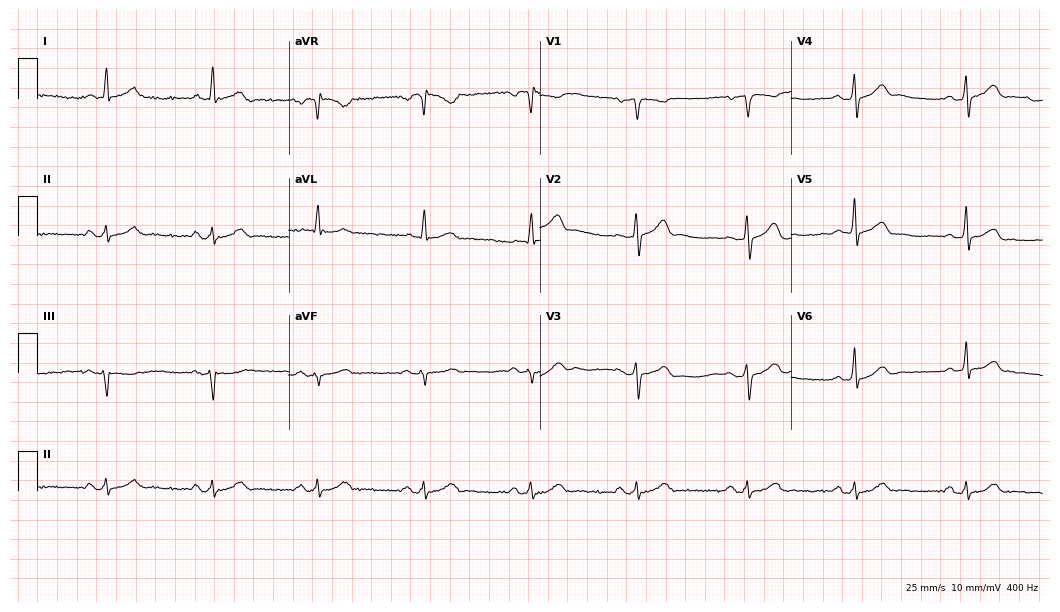
12-lead ECG from a male patient, 65 years old. Labelled as a normal ECG.